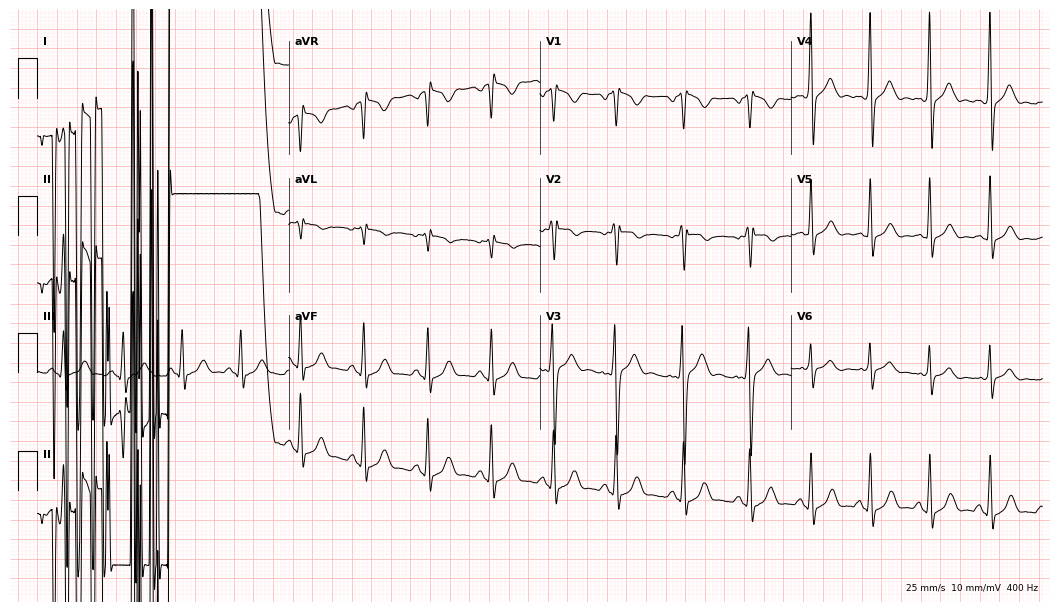
12-lead ECG (10.2-second recording at 400 Hz) from a man, 19 years old. Screened for six findings — first-degree AV block, right bundle branch block, left bundle branch block, sinus bradycardia, atrial fibrillation, sinus tachycardia — none is recorded. Only these six findings were labelled.